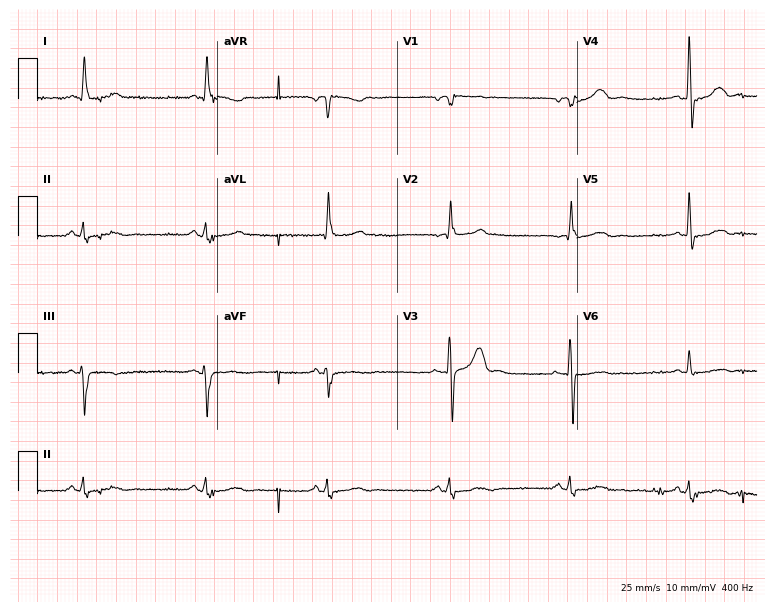
Electrocardiogram, a 68-year-old man. Overall reading on record: normal ECG.